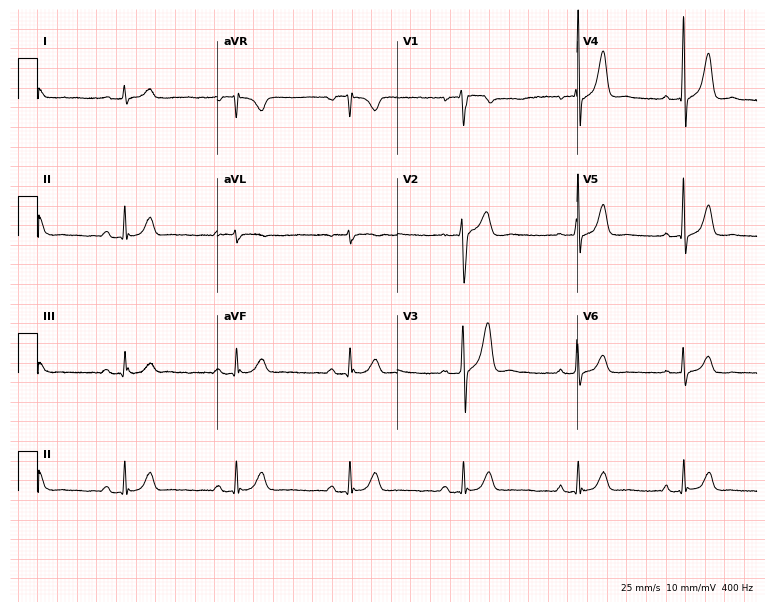
Electrocardiogram (7.3-second recording at 400 Hz), a male, 43 years old. Overall reading on record: normal ECG.